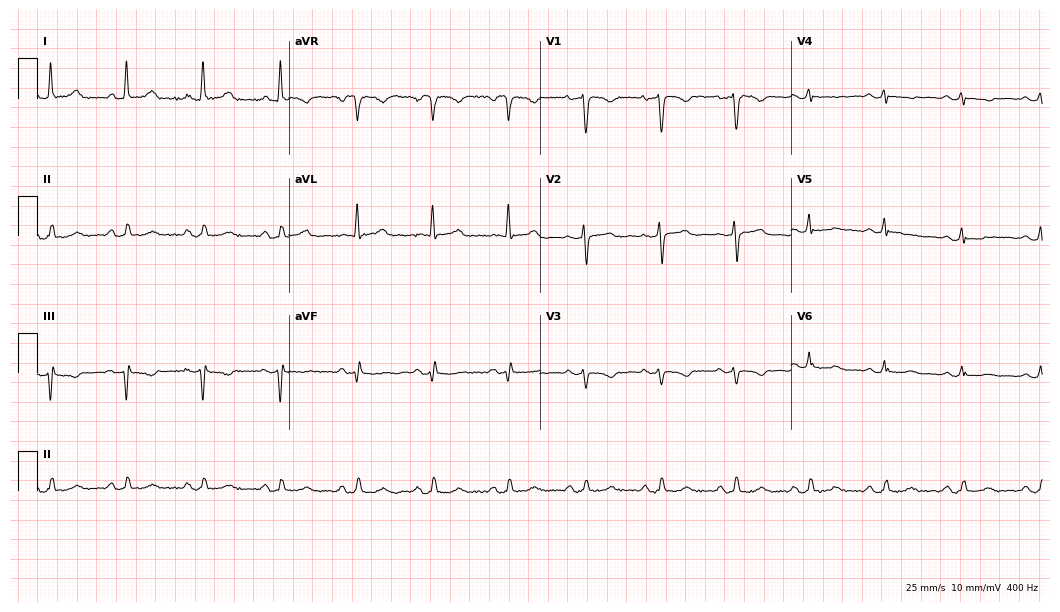
Resting 12-lead electrocardiogram (10.2-second recording at 400 Hz). Patient: a 59-year-old female. Read as a normal ECG.